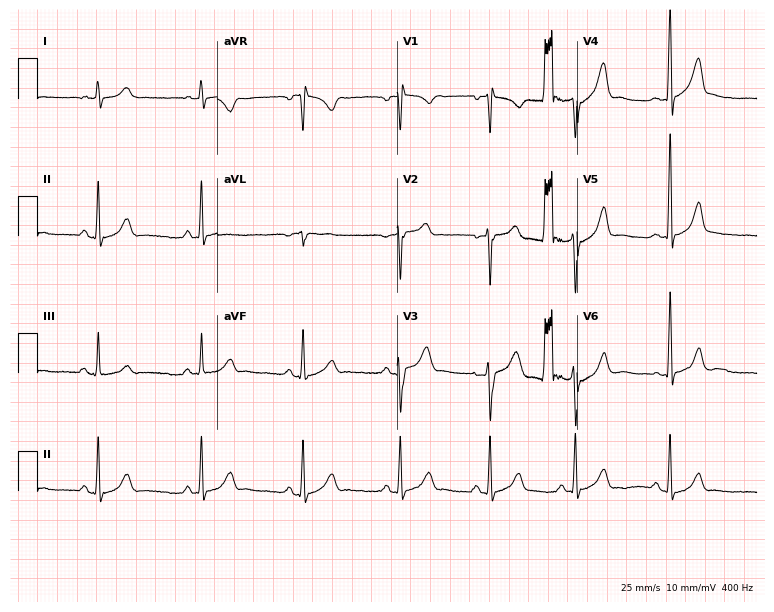
Electrocardiogram (7.3-second recording at 400 Hz), a 37-year-old man. Overall reading on record: normal ECG.